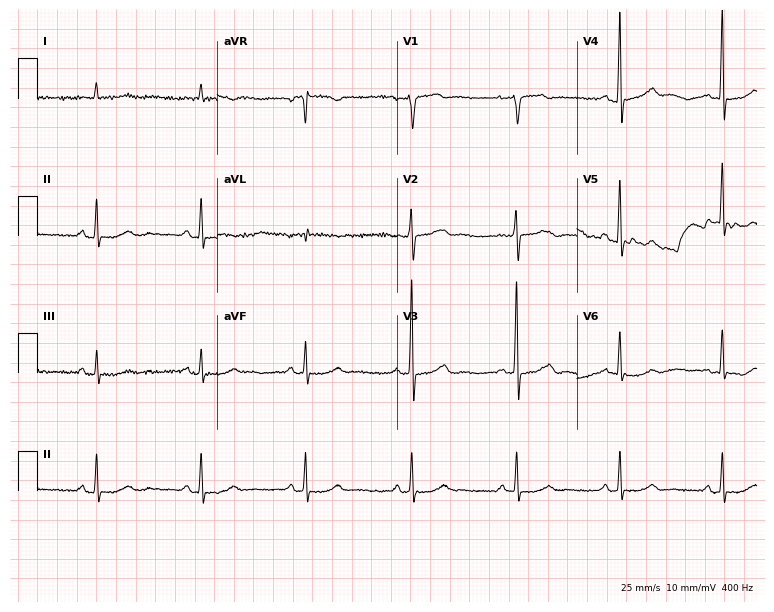
12-lead ECG from a 75-year-old male patient. Screened for six findings — first-degree AV block, right bundle branch block, left bundle branch block, sinus bradycardia, atrial fibrillation, sinus tachycardia — none is recorded.